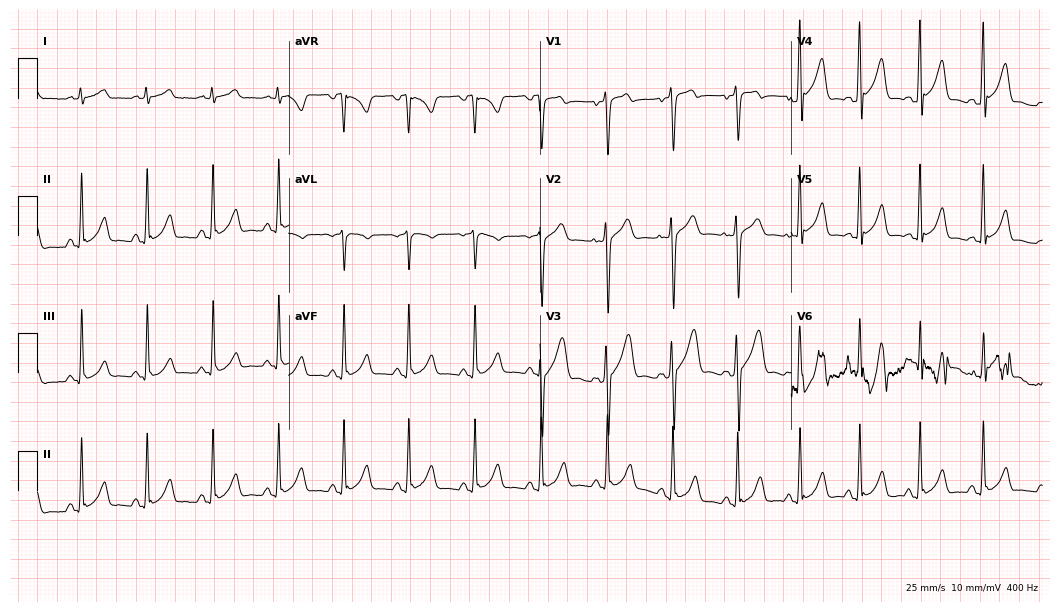
Electrocardiogram (10.2-second recording at 400 Hz), a male patient, 23 years old. Overall reading on record: normal ECG.